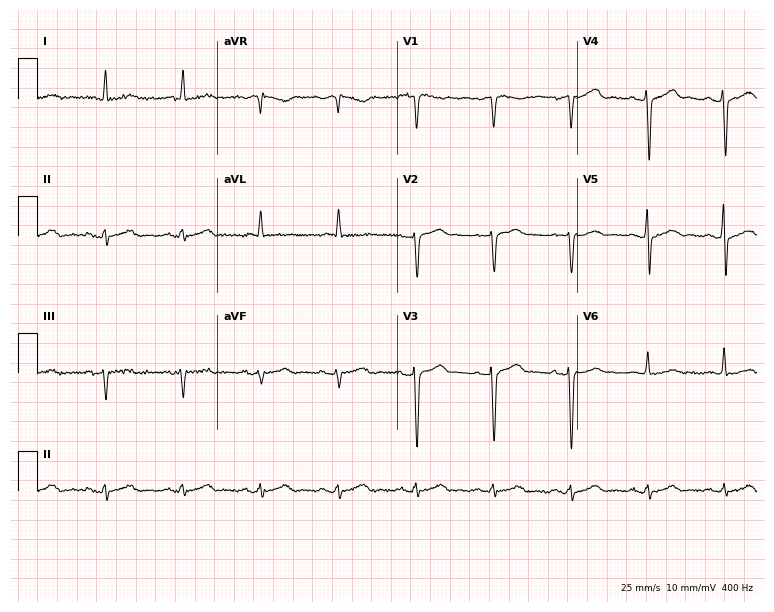
Electrocardiogram, a male patient, 75 years old. Of the six screened findings (first-degree AV block, right bundle branch block (RBBB), left bundle branch block (LBBB), sinus bradycardia, atrial fibrillation (AF), sinus tachycardia), none is recorded. Only these six findings were labelled.